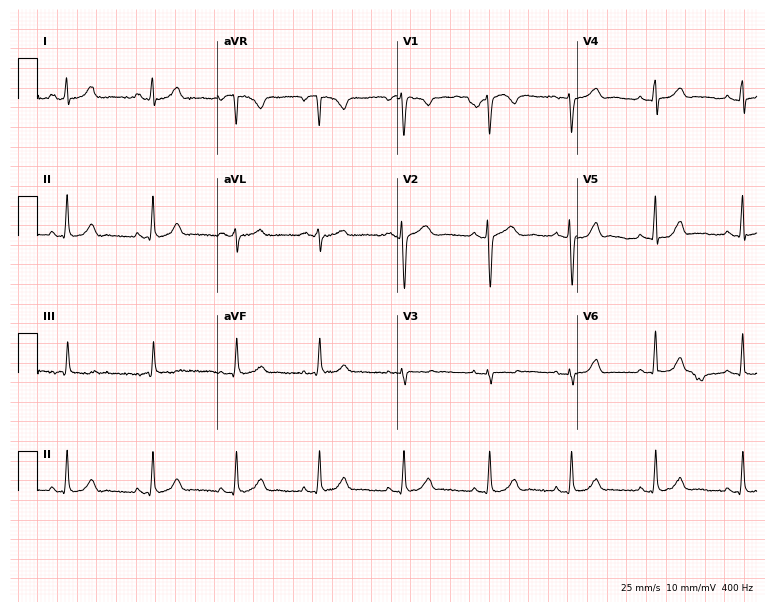
12-lead ECG (7.3-second recording at 400 Hz) from a female, 39 years old. Labelled as a normal ECG.